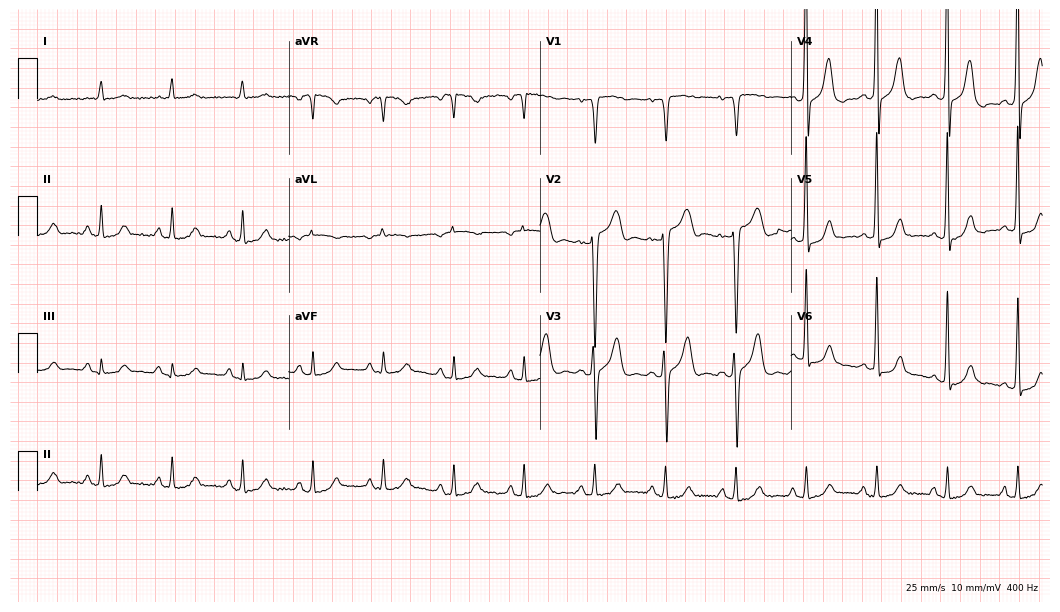
12-lead ECG from a female, 63 years old. Recorded interpretation: within normal limits.